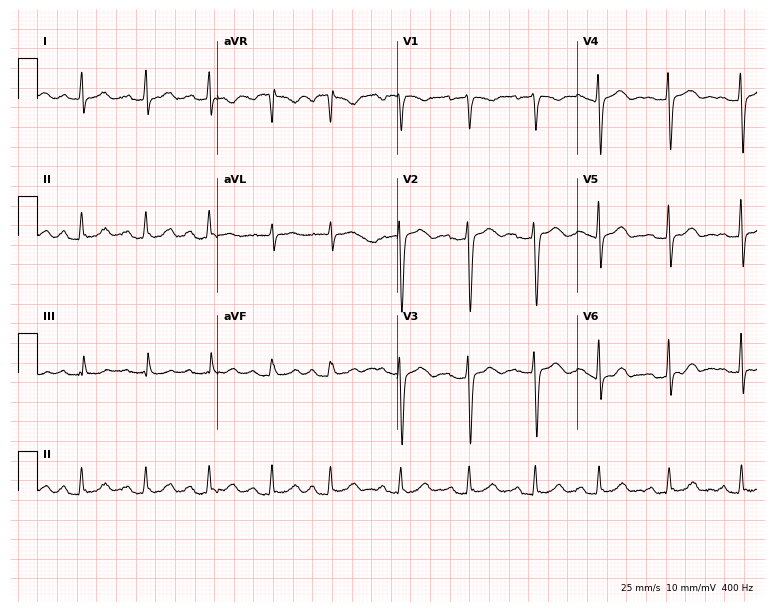
Resting 12-lead electrocardiogram (7.3-second recording at 400 Hz). Patient: a female, 33 years old. None of these six findings is recorded: first-degree AV block, right bundle branch block, left bundle branch block, sinus bradycardia, atrial fibrillation, sinus tachycardia. Only these six findings were labelled.